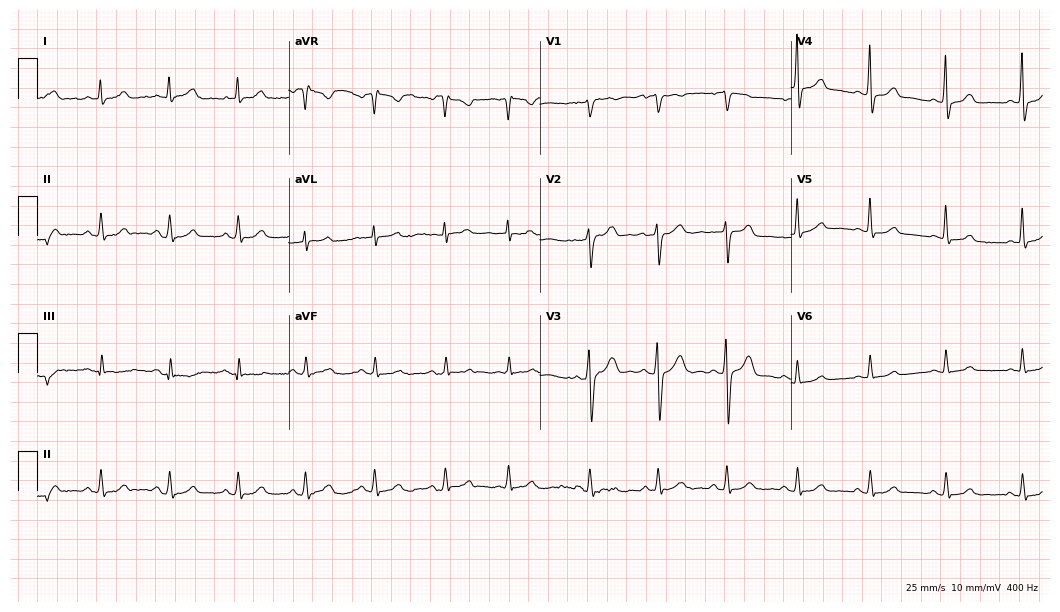
12-lead ECG from a 51-year-old man. Labelled as a normal ECG.